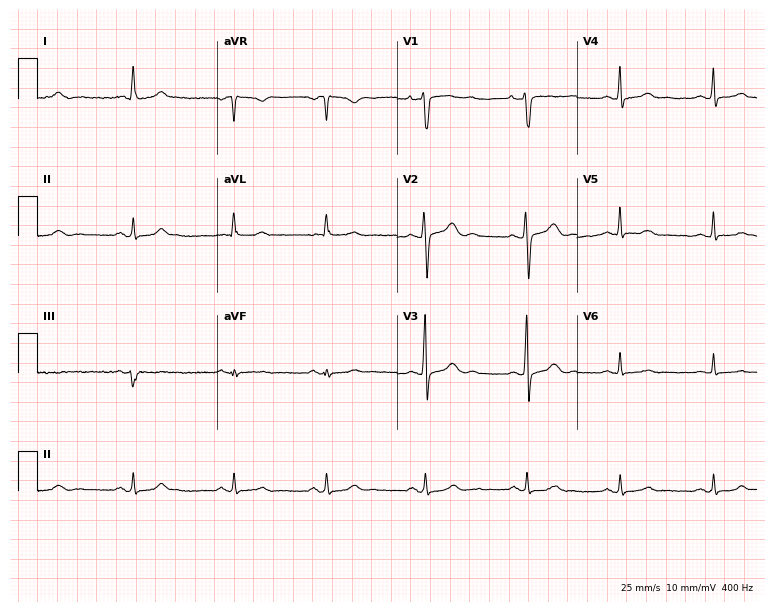
Standard 12-lead ECG recorded from a female patient, 43 years old (7.3-second recording at 400 Hz). None of these six findings is recorded: first-degree AV block, right bundle branch block (RBBB), left bundle branch block (LBBB), sinus bradycardia, atrial fibrillation (AF), sinus tachycardia. Other findings, if any, are not listed.